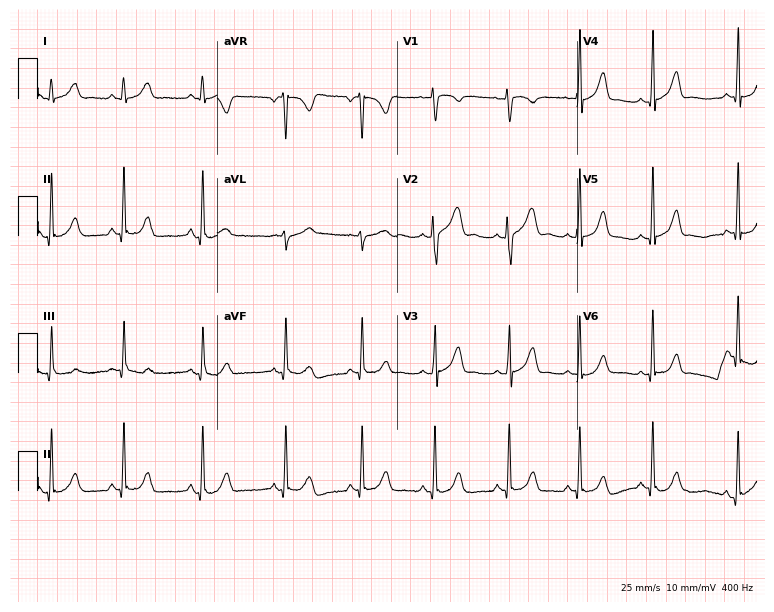
Resting 12-lead electrocardiogram (7.3-second recording at 400 Hz). Patient: a 21-year-old female. Read as a normal ECG.